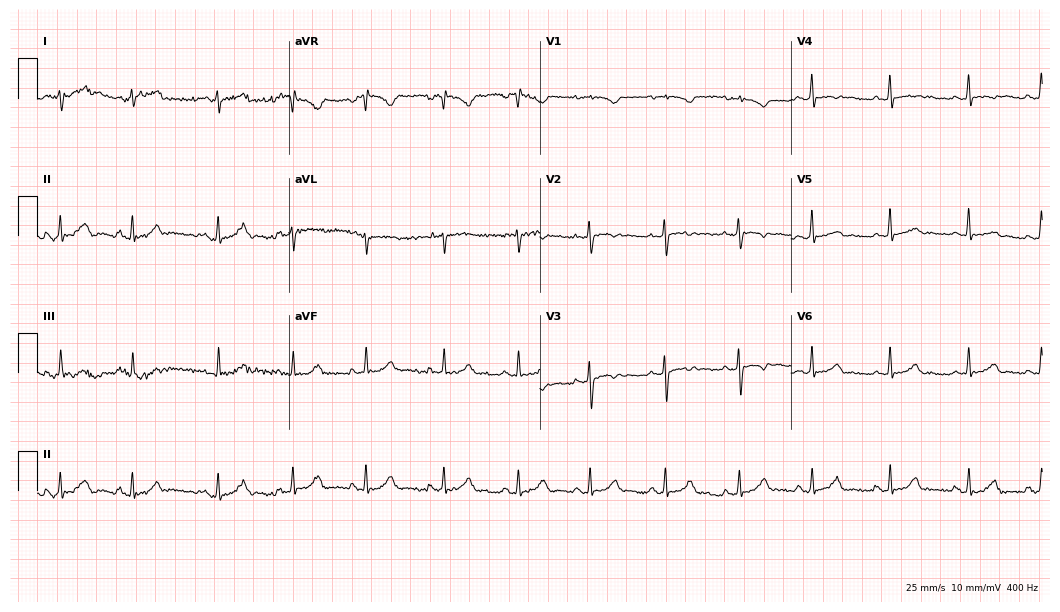
Resting 12-lead electrocardiogram. Patient: a female, 17 years old. None of these six findings is recorded: first-degree AV block, right bundle branch block, left bundle branch block, sinus bradycardia, atrial fibrillation, sinus tachycardia. Other findings, if any, are not listed.